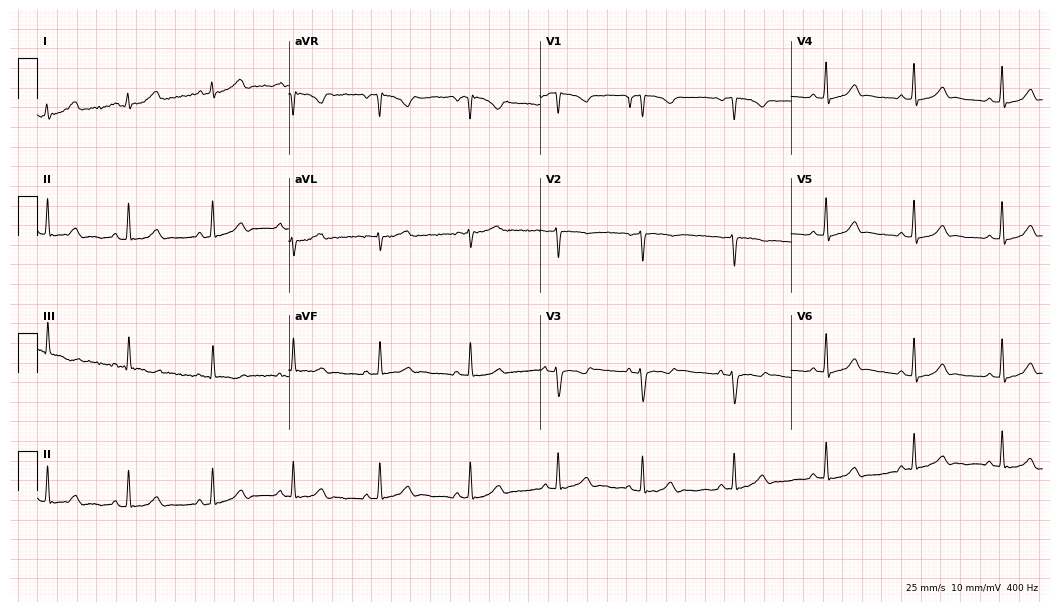
12-lead ECG from a 32-year-old female. Labelled as a normal ECG.